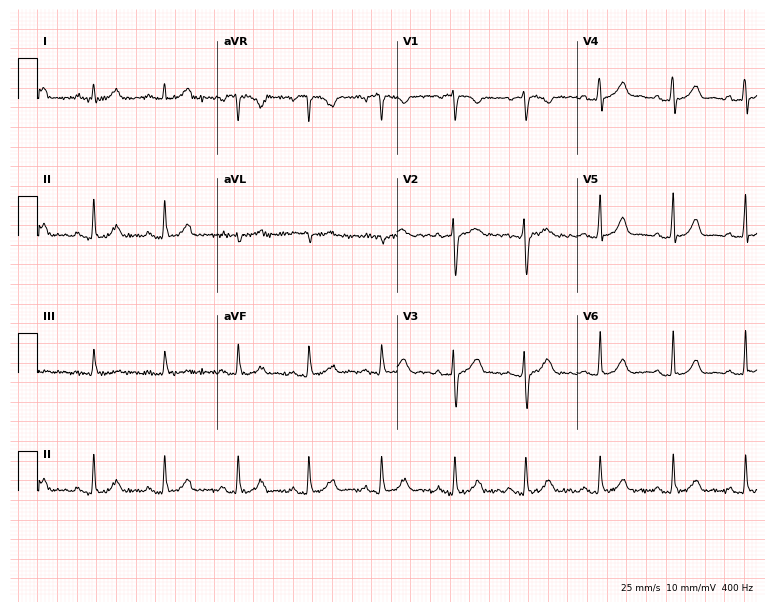
ECG — a female, 29 years old. Labelled as a normal ECG.